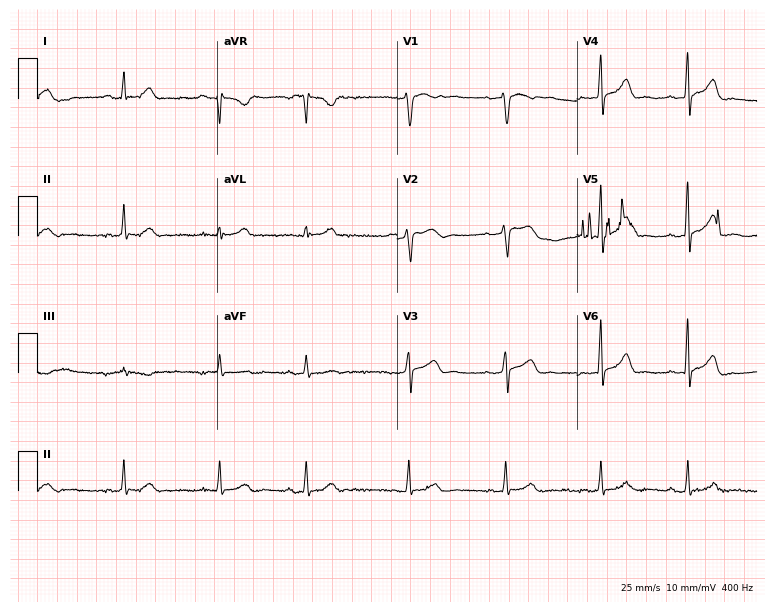
Electrocardiogram, a female patient, 32 years old. Overall reading on record: normal ECG.